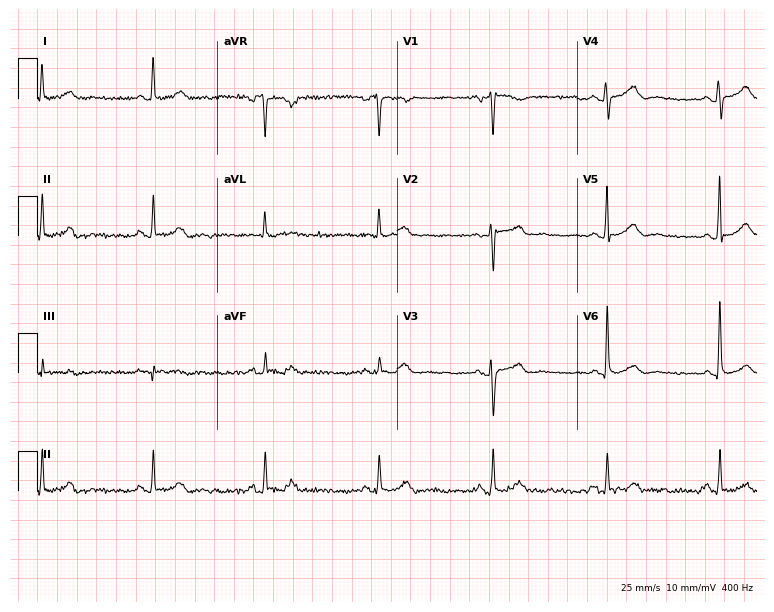
12-lead ECG from a 49-year-old female patient. Recorded interpretation: within normal limits.